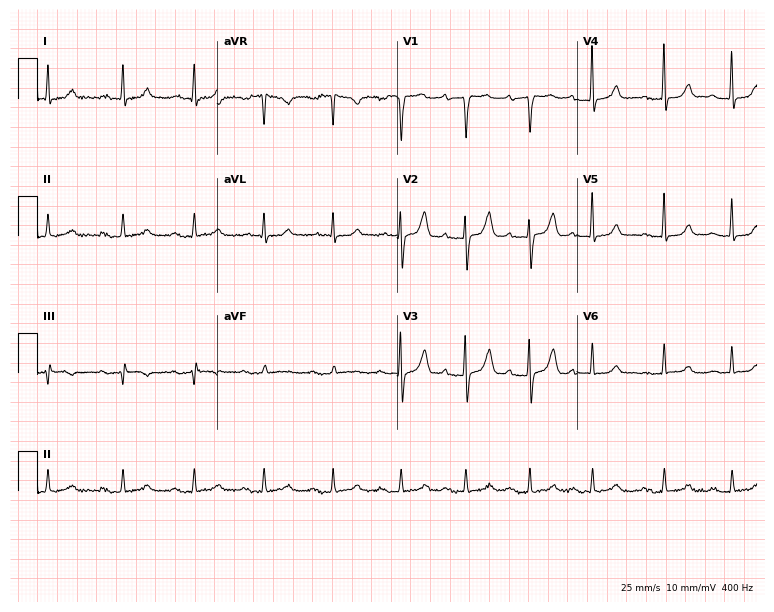
Electrocardiogram, a female, 85 years old. Overall reading on record: normal ECG.